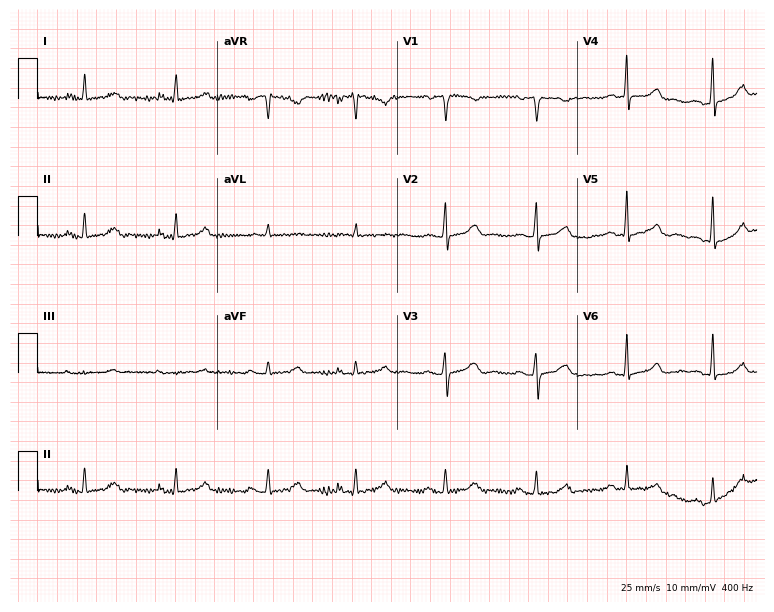
Resting 12-lead electrocardiogram (7.3-second recording at 400 Hz). Patient: a female, 45 years old. Read as a normal ECG.